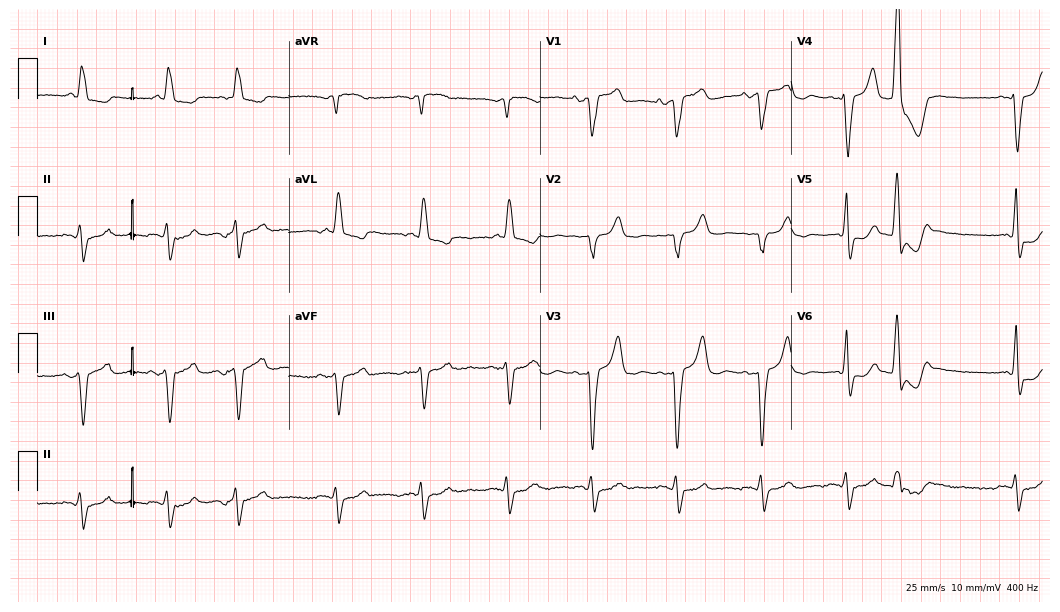
ECG (10.2-second recording at 400 Hz) — a woman, 83 years old. Findings include left bundle branch block.